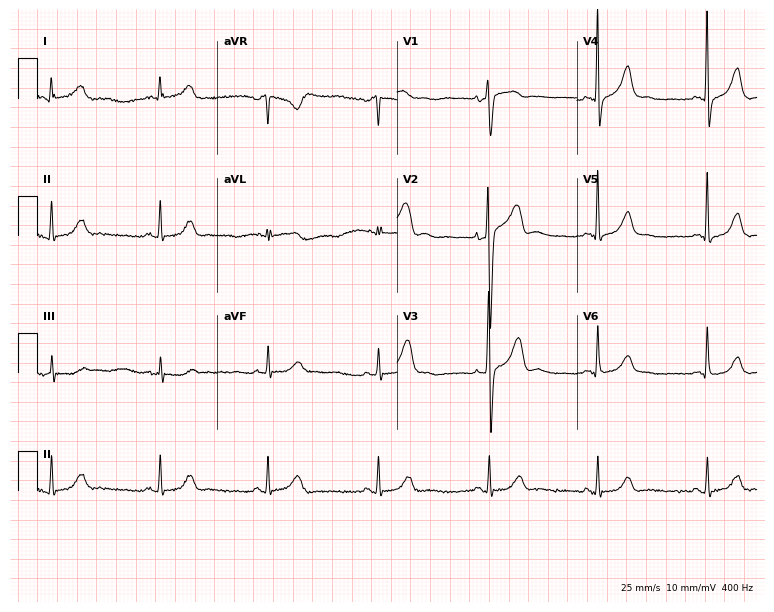
12-lead ECG from a 60-year-old woman. Labelled as a normal ECG.